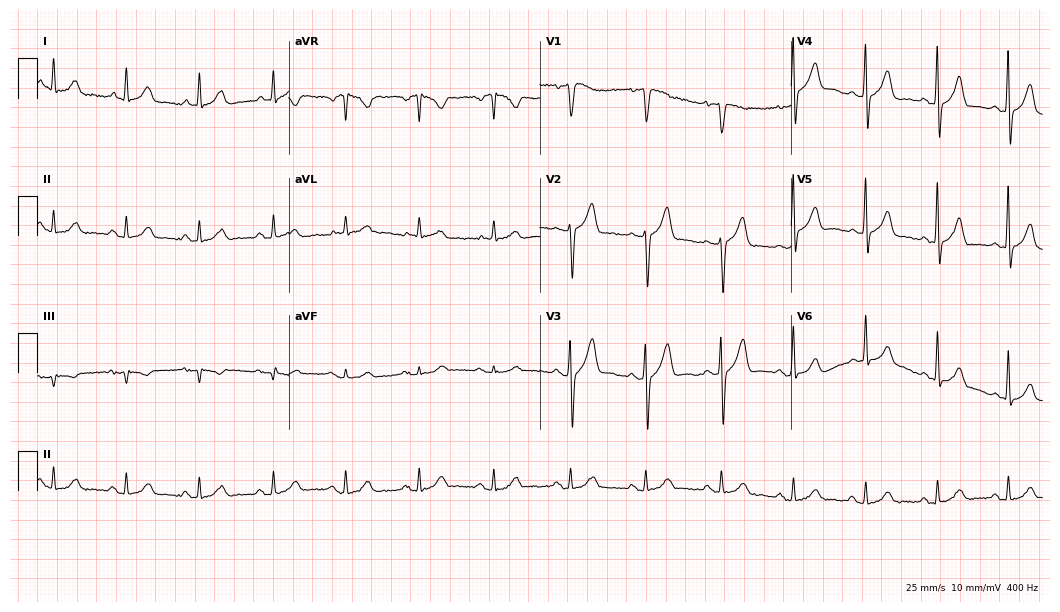
12-lead ECG from a 60-year-old male patient. Labelled as a normal ECG.